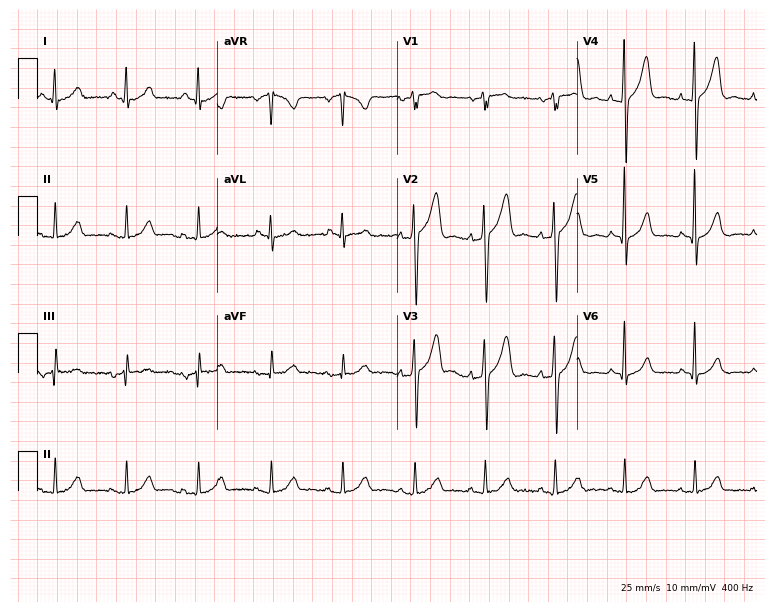
12-lead ECG from a 53-year-old man. No first-degree AV block, right bundle branch block (RBBB), left bundle branch block (LBBB), sinus bradycardia, atrial fibrillation (AF) or sinus tachycardia recorded for this tracing. Other findings, if any, are not listed.